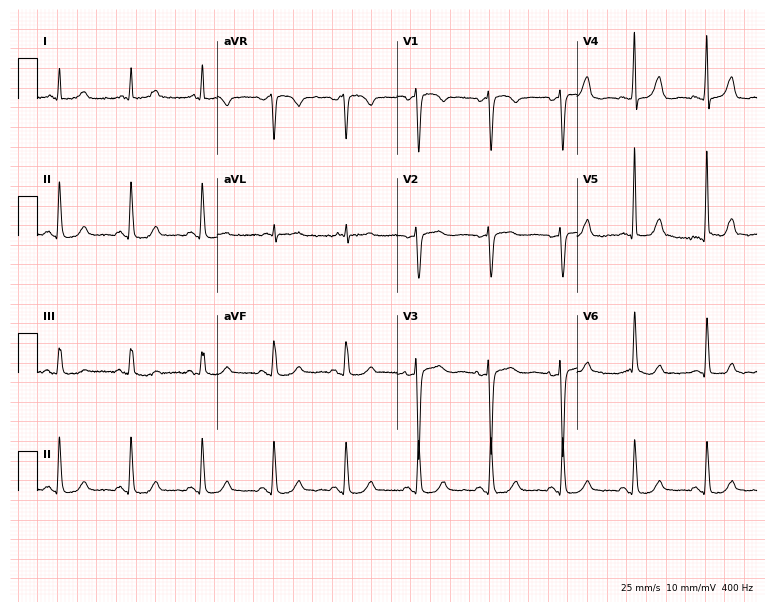
12-lead ECG from a female patient, 49 years old. No first-degree AV block, right bundle branch block (RBBB), left bundle branch block (LBBB), sinus bradycardia, atrial fibrillation (AF) or sinus tachycardia recorded for this tracing.